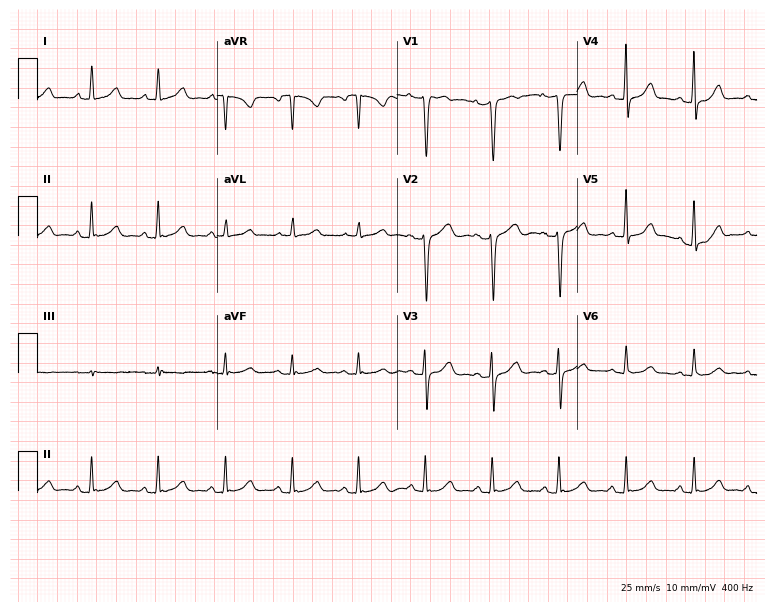
Resting 12-lead electrocardiogram. Patient: a 42-year-old female. None of these six findings is recorded: first-degree AV block, right bundle branch block, left bundle branch block, sinus bradycardia, atrial fibrillation, sinus tachycardia.